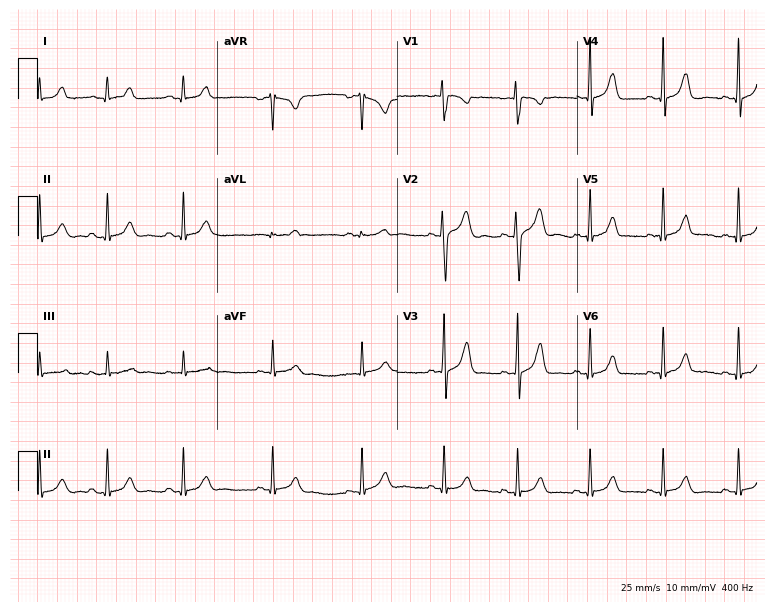
Electrocardiogram (7.3-second recording at 400 Hz), an 18-year-old woman. Of the six screened findings (first-degree AV block, right bundle branch block (RBBB), left bundle branch block (LBBB), sinus bradycardia, atrial fibrillation (AF), sinus tachycardia), none is recorded.